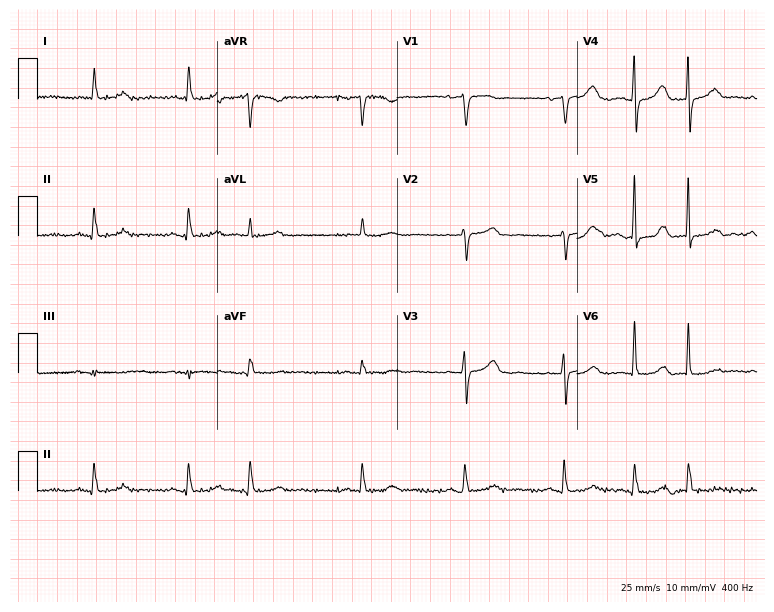
12-lead ECG from a female patient, 86 years old. Recorded interpretation: within normal limits.